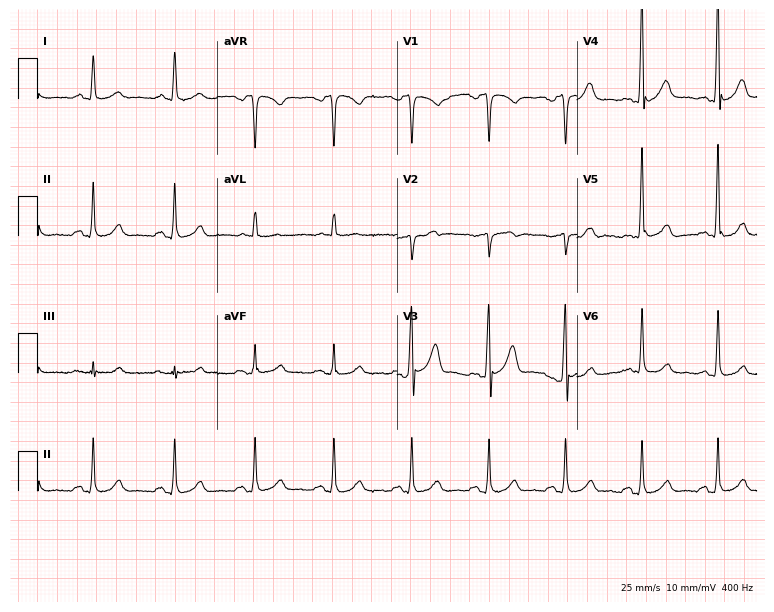
12-lead ECG from a 48-year-old male (7.3-second recording at 400 Hz). Recorded interpretation: within normal limits.